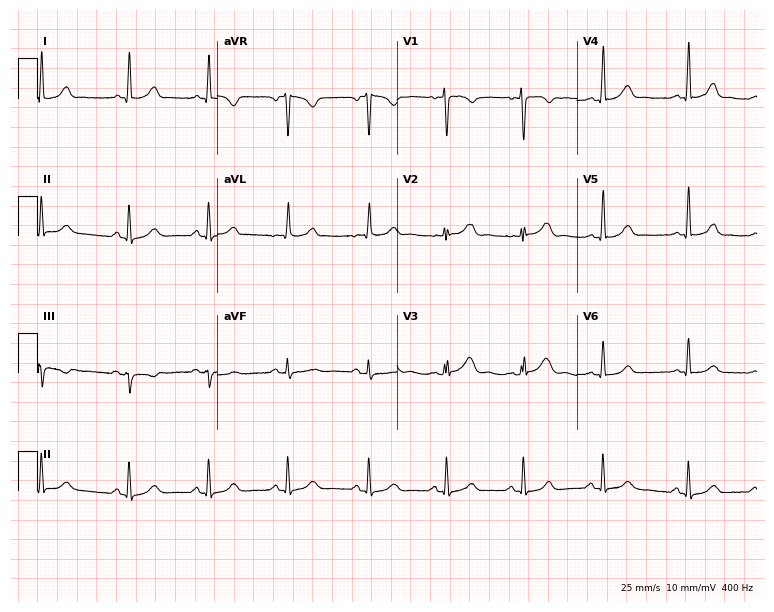
Electrocardiogram, a 36-year-old female. Overall reading on record: normal ECG.